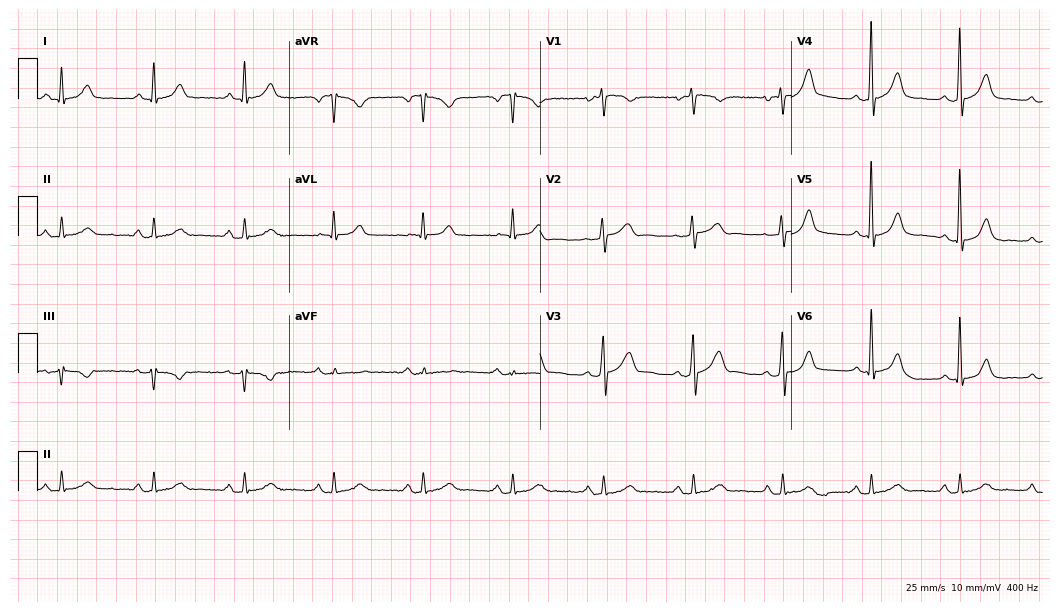
12-lead ECG from a male, 55 years old (10.2-second recording at 400 Hz). Recorded interpretation: within normal limits.